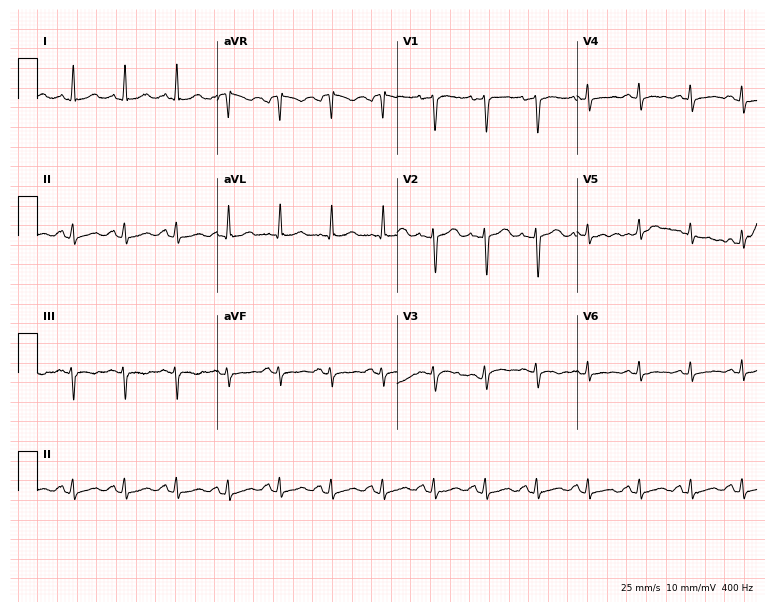
Standard 12-lead ECG recorded from a female patient, 49 years old. The tracing shows sinus tachycardia (a sinus rate of 100 beats per minute or more).